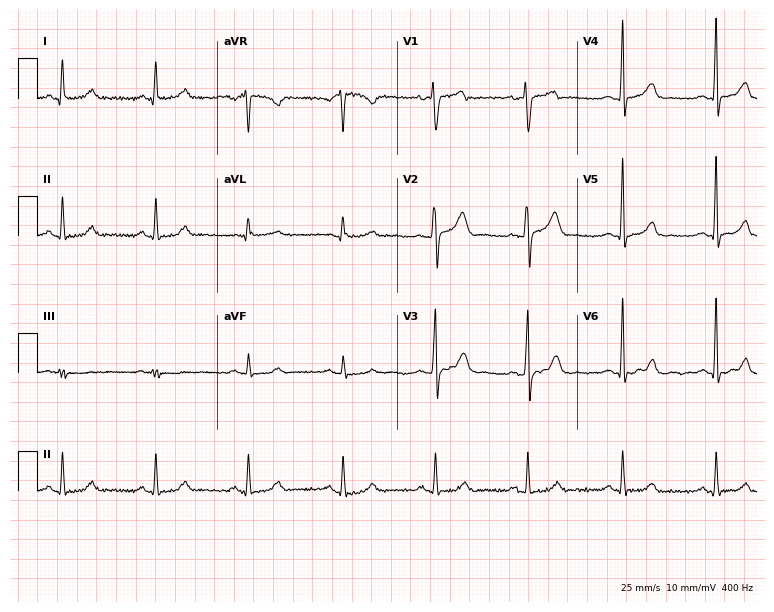
12-lead ECG (7.3-second recording at 400 Hz) from a 45-year-old female. Screened for six findings — first-degree AV block, right bundle branch block (RBBB), left bundle branch block (LBBB), sinus bradycardia, atrial fibrillation (AF), sinus tachycardia — none is recorded.